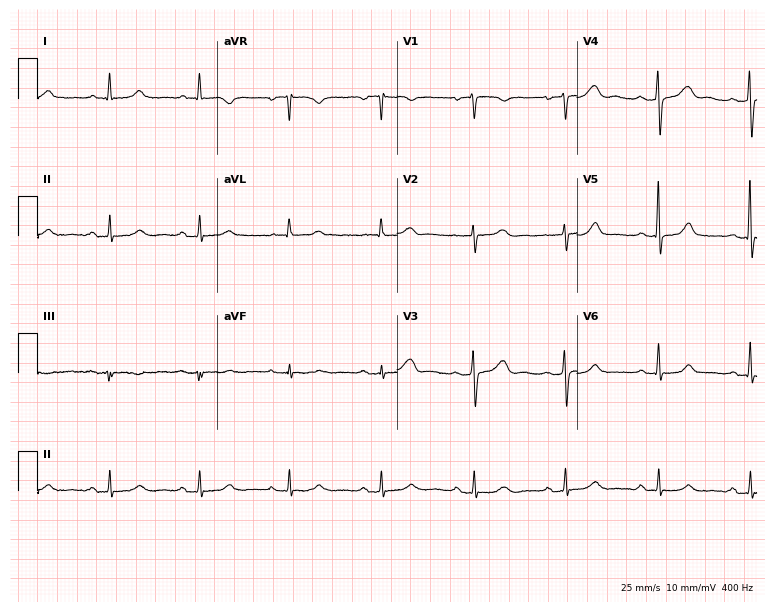
ECG — a 63-year-old female patient. Labelled as a normal ECG.